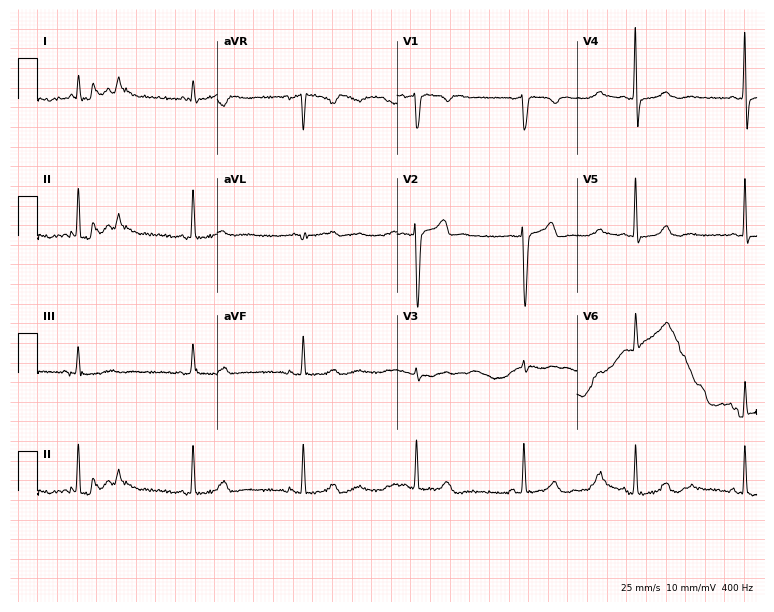
12-lead ECG from a 41-year-old male patient. Recorded interpretation: within normal limits.